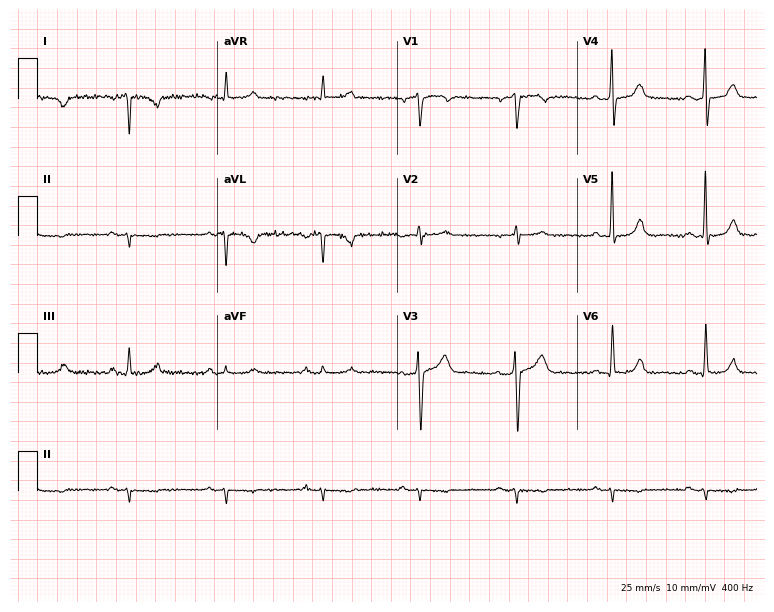
ECG — a 64-year-old man. Screened for six findings — first-degree AV block, right bundle branch block (RBBB), left bundle branch block (LBBB), sinus bradycardia, atrial fibrillation (AF), sinus tachycardia — none is recorded. Only these six findings were labelled.